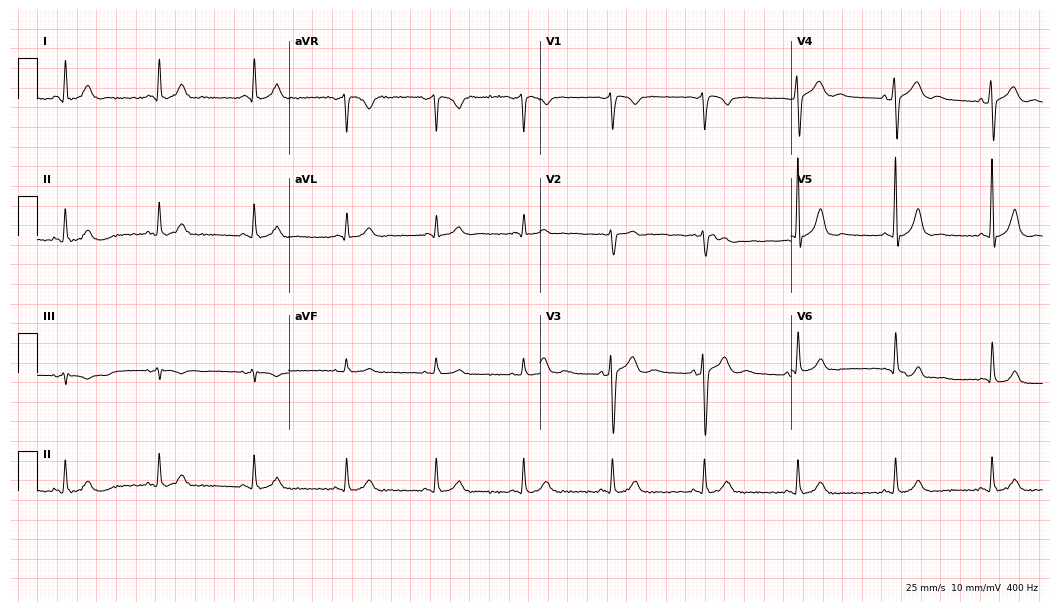
Electrocardiogram (10.2-second recording at 400 Hz), a 49-year-old female patient. Overall reading on record: normal ECG.